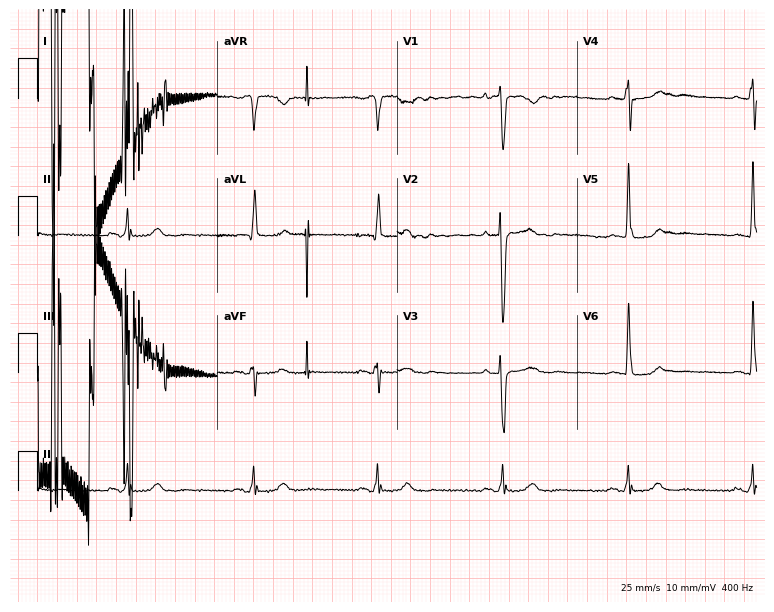
Resting 12-lead electrocardiogram (7.3-second recording at 400 Hz). Patient: an 81-year-old female. None of these six findings is recorded: first-degree AV block, right bundle branch block (RBBB), left bundle branch block (LBBB), sinus bradycardia, atrial fibrillation (AF), sinus tachycardia. Only these six findings were labelled.